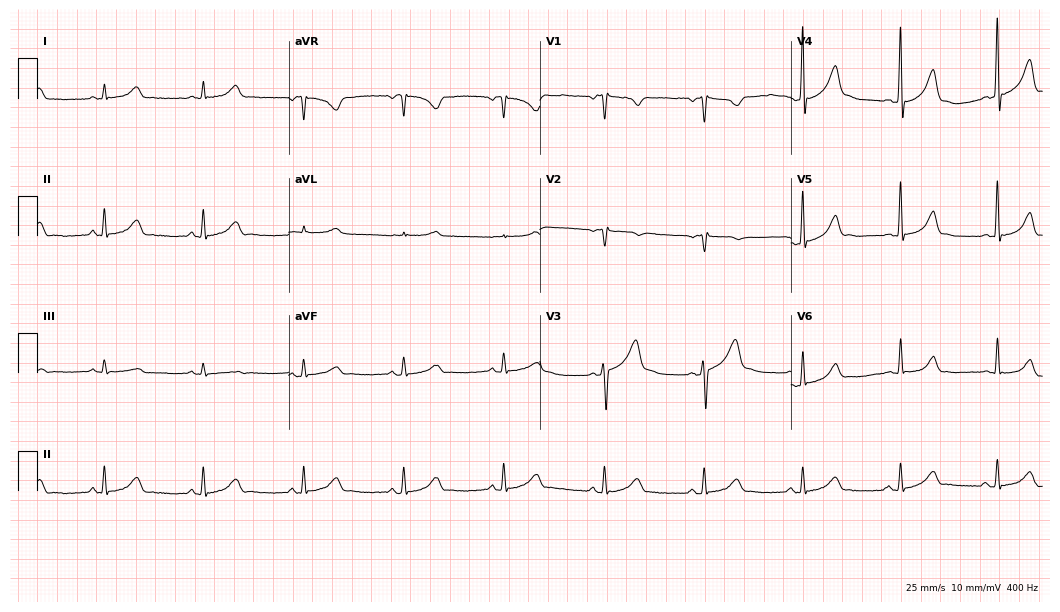
Standard 12-lead ECG recorded from a 58-year-old male patient (10.2-second recording at 400 Hz). Read as a normal ECG.